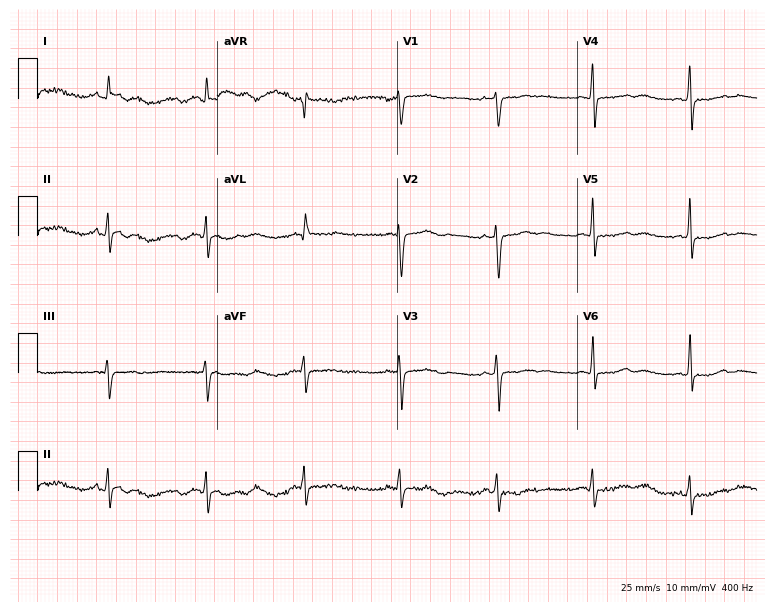
12-lead ECG from a female patient, 47 years old (7.3-second recording at 400 Hz). No first-degree AV block, right bundle branch block (RBBB), left bundle branch block (LBBB), sinus bradycardia, atrial fibrillation (AF) or sinus tachycardia recorded for this tracing. Other findings, if any, are not listed.